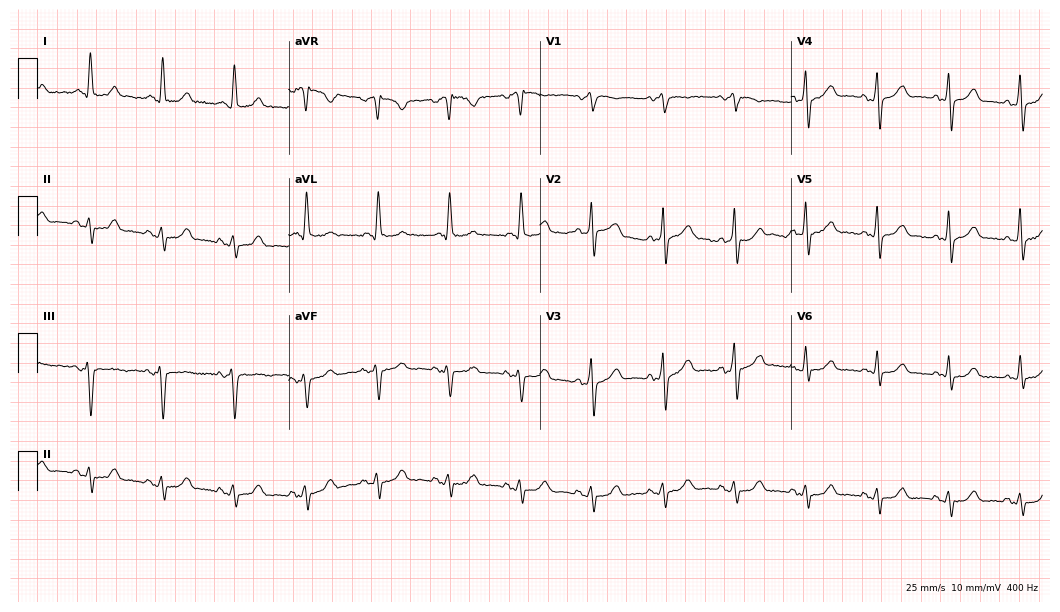
Electrocardiogram, a man, 82 years old. Of the six screened findings (first-degree AV block, right bundle branch block, left bundle branch block, sinus bradycardia, atrial fibrillation, sinus tachycardia), none is recorded. Other findings, if any, are not listed.